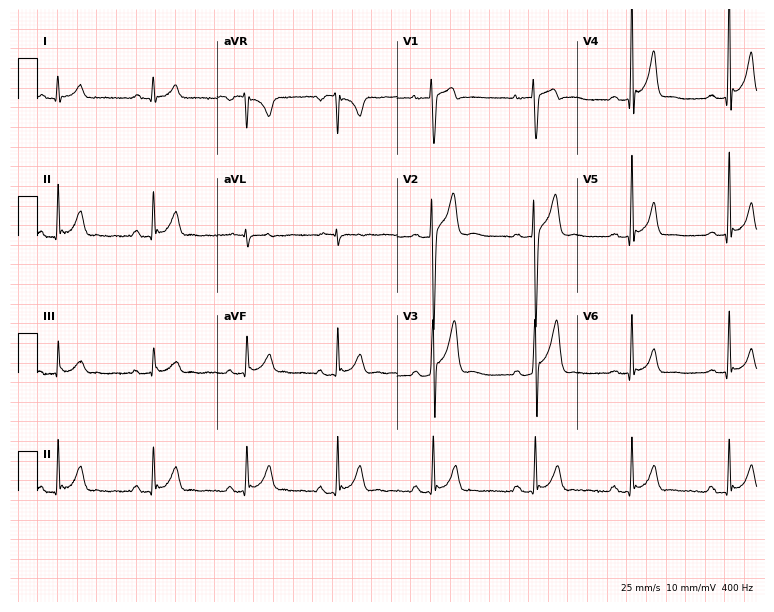
Standard 12-lead ECG recorded from a 19-year-old male patient (7.3-second recording at 400 Hz). None of these six findings is recorded: first-degree AV block, right bundle branch block (RBBB), left bundle branch block (LBBB), sinus bradycardia, atrial fibrillation (AF), sinus tachycardia. Other findings, if any, are not listed.